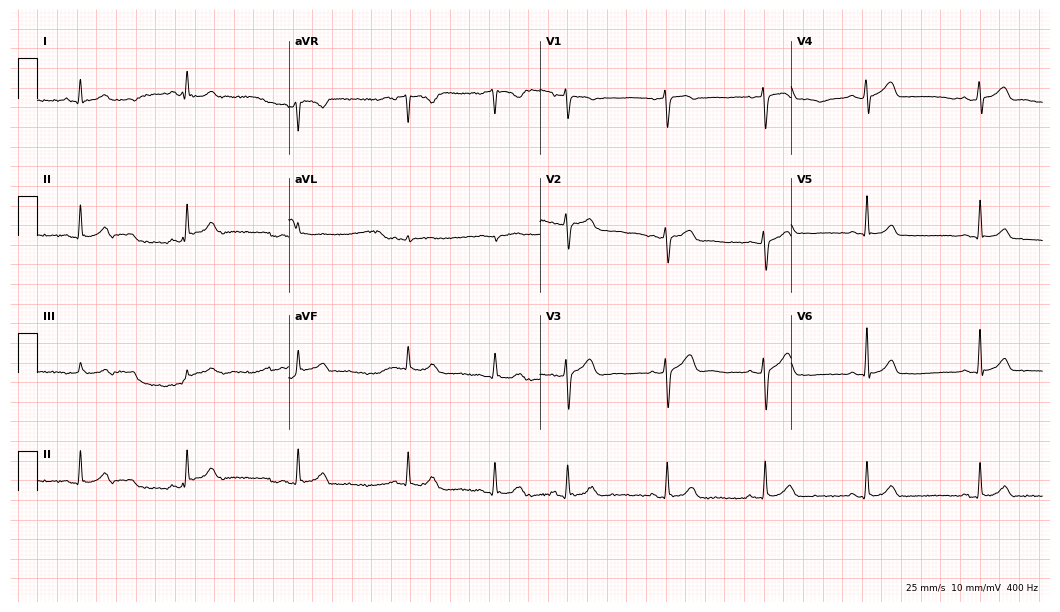
Electrocardiogram (10.2-second recording at 400 Hz), a female patient, 39 years old. Of the six screened findings (first-degree AV block, right bundle branch block (RBBB), left bundle branch block (LBBB), sinus bradycardia, atrial fibrillation (AF), sinus tachycardia), none is recorded. Findings outside these six are not listed.